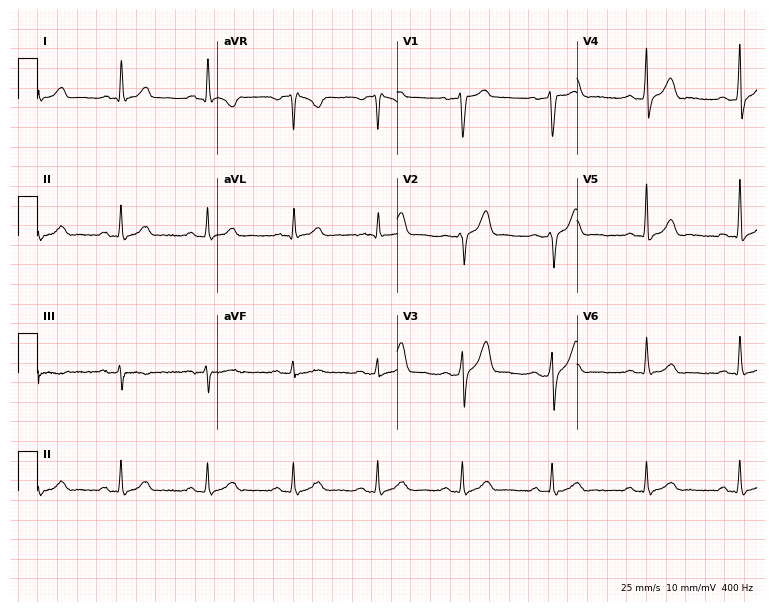
Electrocardiogram (7.3-second recording at 400 Hz), a 30-year-old male. Of the six screened findings (first-degree AV block, right bundle branch block, left bundle branch block, sinus bradycardia, atrial fibrillation, sinus tachycardia), none is recorded.